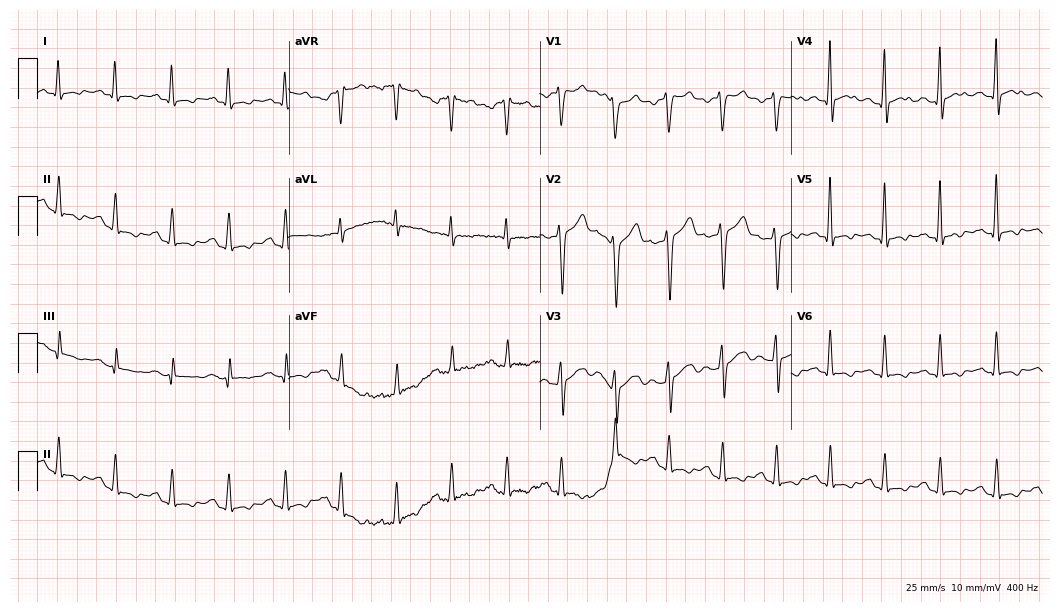
12-lead ECG (10.2-second recording at 400 Hz) from a 79-year-old male. Findings include sinus tachycardia (a sinus rate of 100 beats per minute or more).